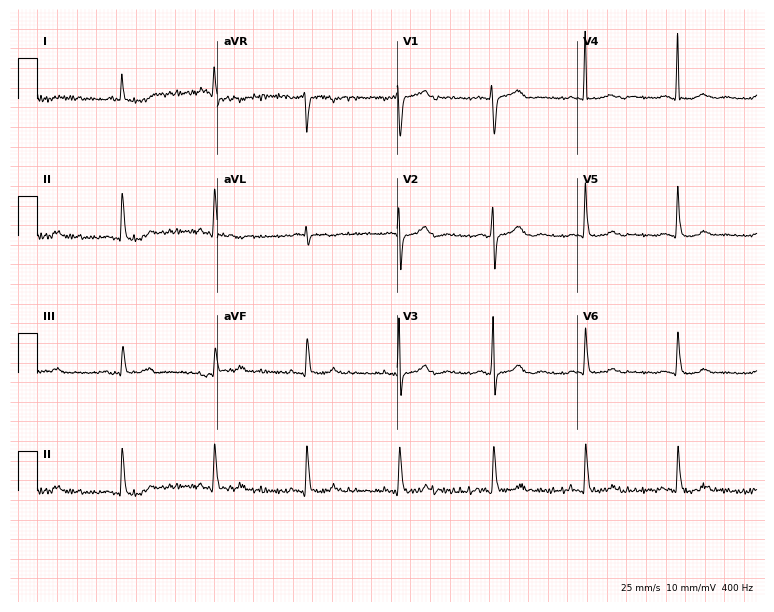
Standard 12-lead ECG recorded from a woman, 79 years old (7.3-second recording at 400 Hz). None of these six findings is recorded: first-degree AV block, right bundle branch block, left bundle branch block, sinus bradycardia, atrial fibrillation, sinus tachycardia. Findings outside these six are not listed.